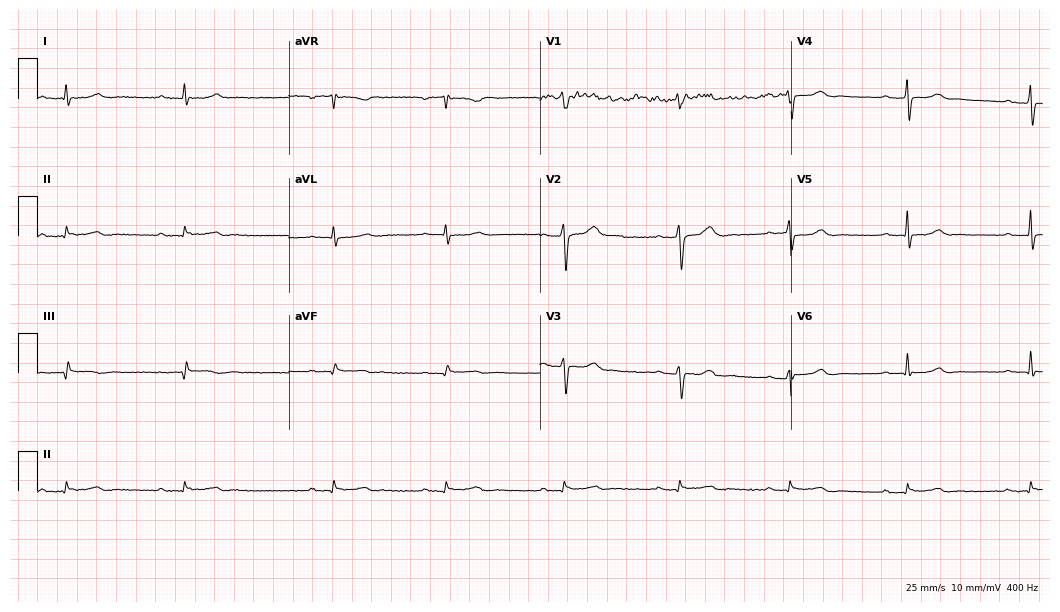
ECG — a 58-year-old man. Screened for six findings — first-degree AV block, right bundle branch block, left bundle branch block, sinus bradycardia, atrial fibrillation, sinus tachycardia — none is recorded. Other findings, if any, are not listed.